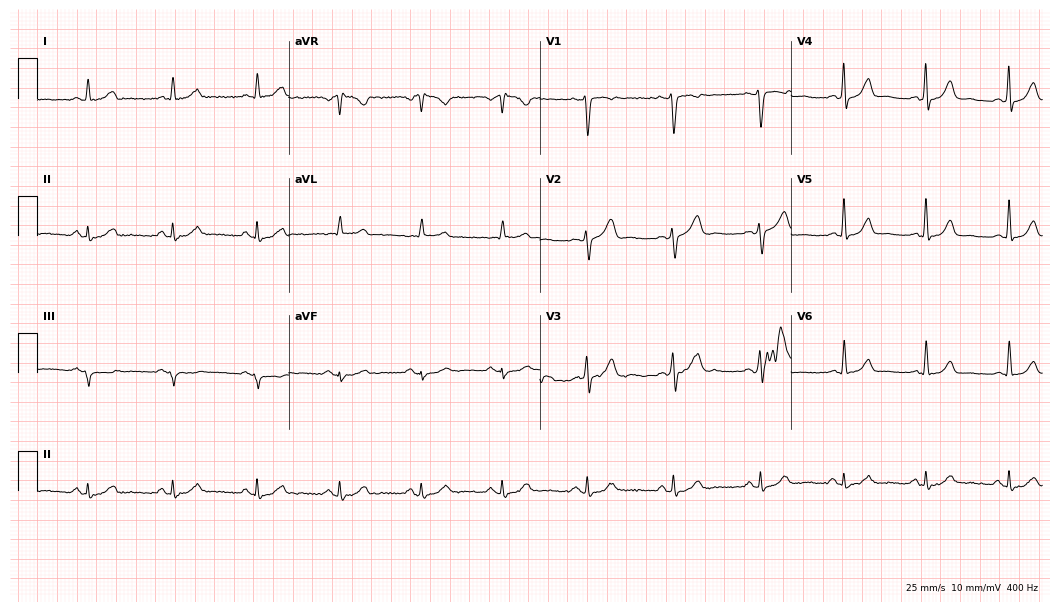
12-lead ECG from a woman, 44 years old. Screened for six findings — first-degree AV block, right bundle branch block, left bundle branch block, sinus bradycardia, atrial fibrillation, sinus tachycardia — none is recorded.